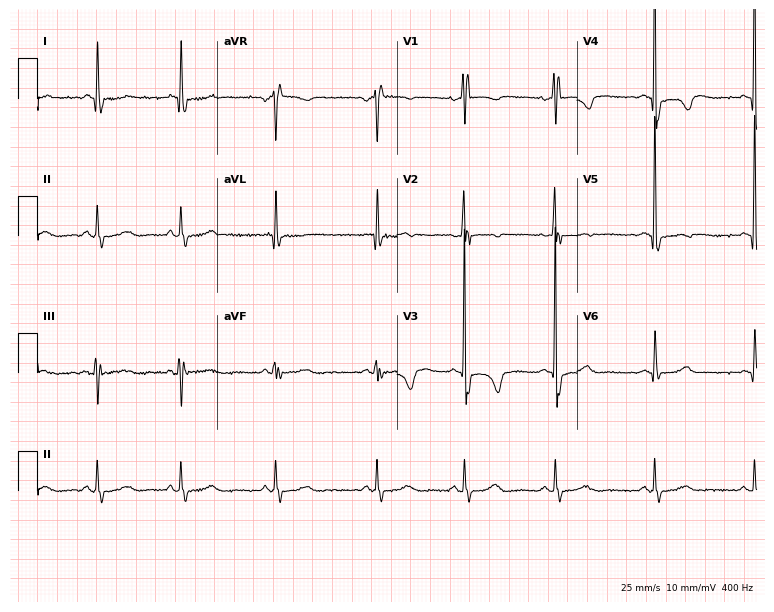
12-lead ECG from a 72-year-old female. Screened for six findings — first-degree AV block, right bundle branch block (RBBB), left bundle branch block (LBBB), sinus bradycardia, atrial fibrillation (AF), sinus tachycardia — none is recorded.